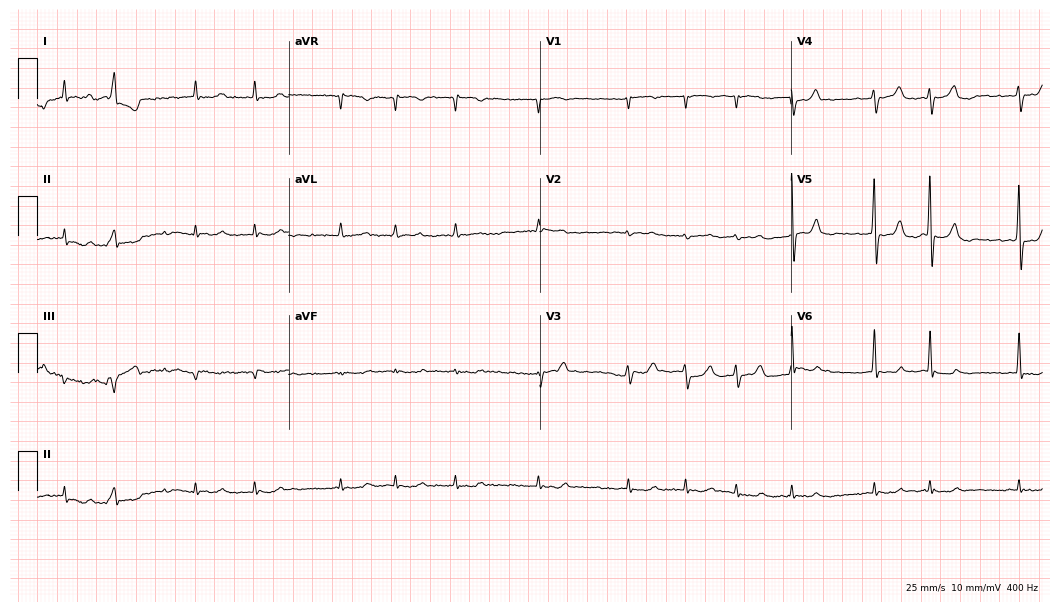
12-lead ECG from a man, 83 years old. Findings include atrial fibrillation (AF).